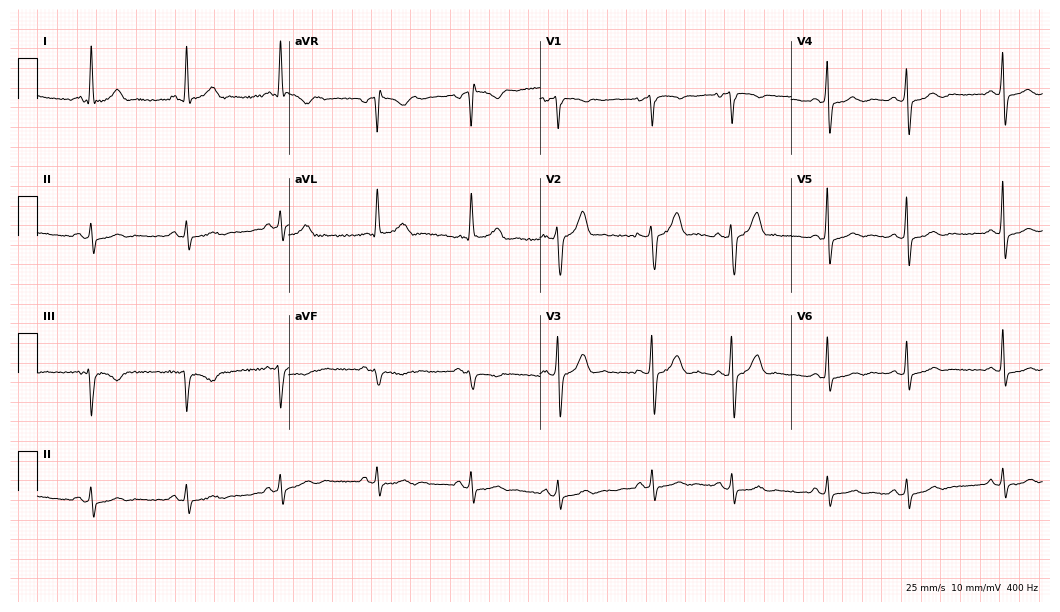
Standard 12-lead ECG recorded from a male patient, 78 years old (10.2-second recording at 400 Hz). Read as a normal ECG.